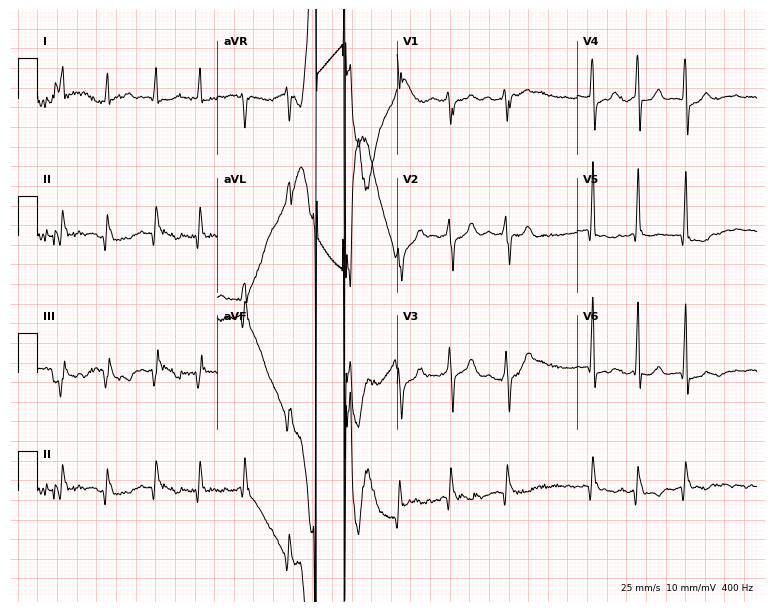
12-lead ECG from a 70-year-old male patient. Findings include atrial fibrillation.